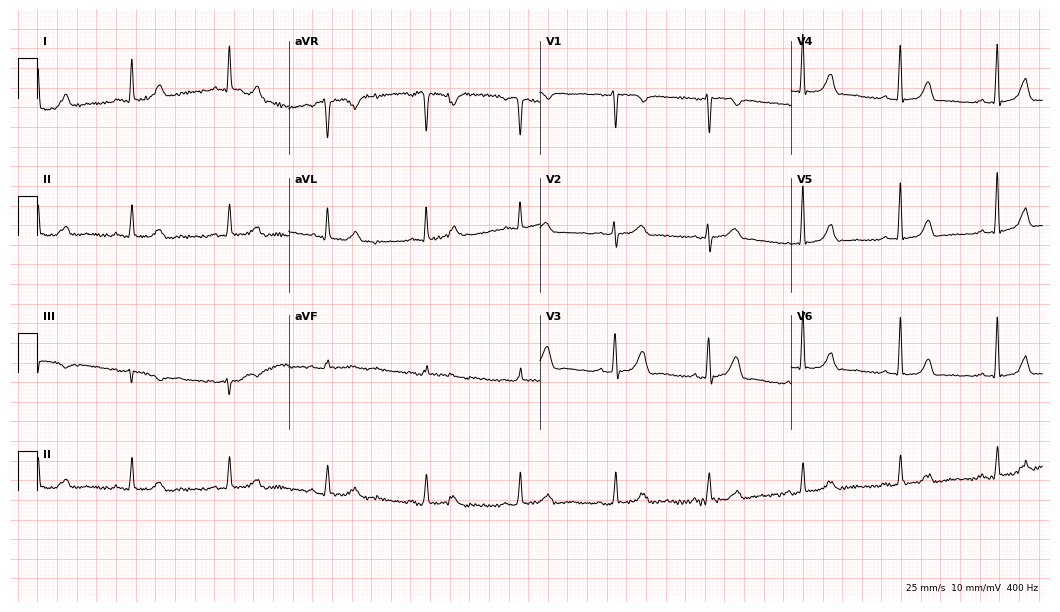
ECG (10.2-second recording at 400 Hz) — a 57-year-old female. Labelled as a normal ECG.